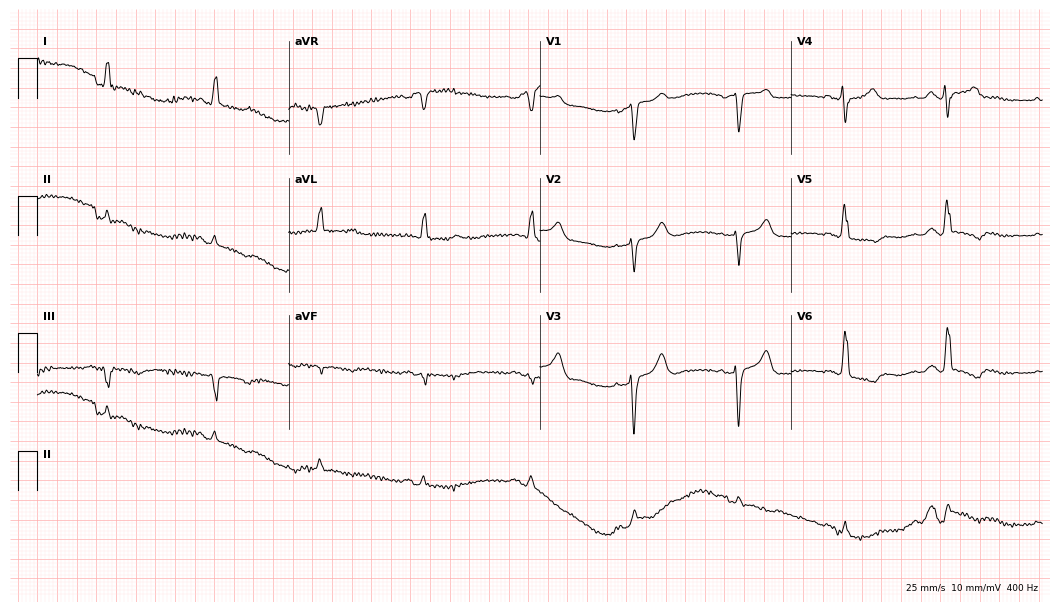
Resting 12-lead electrocardiogram (10.2-second recording at 400 Hz). Patient: a man, 64 years old. None of these six findings is recorded: first-degree AV block, right bundle branch block, left bundle branch block, sinus bradycardia, atrial fibrillation, sinus tachycardia. Only these six findings were labelled.